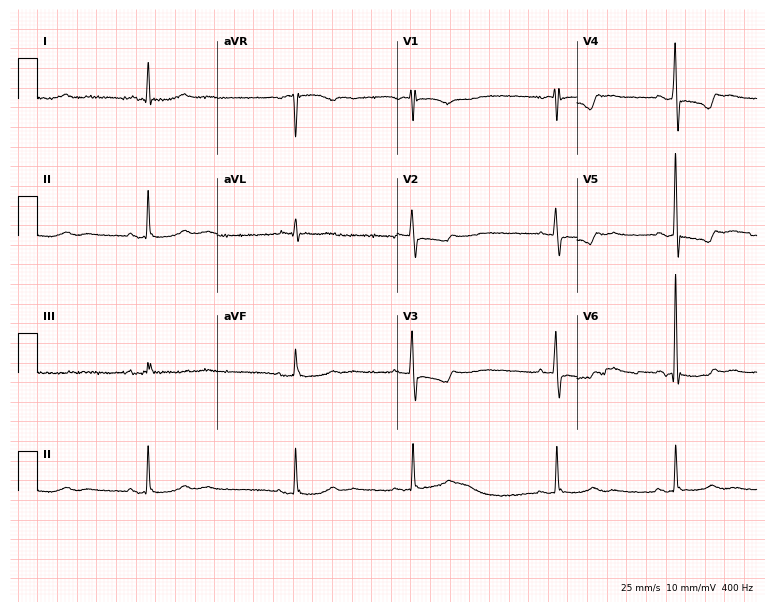
Electrocardiogram, a woman, 71 years old. Of the six screened findings (first-degree AV block, right bundle branch block, left bundle branch block, sinus bradycardia, atrial fibrillation, sinus tachycardia), none is recorded.